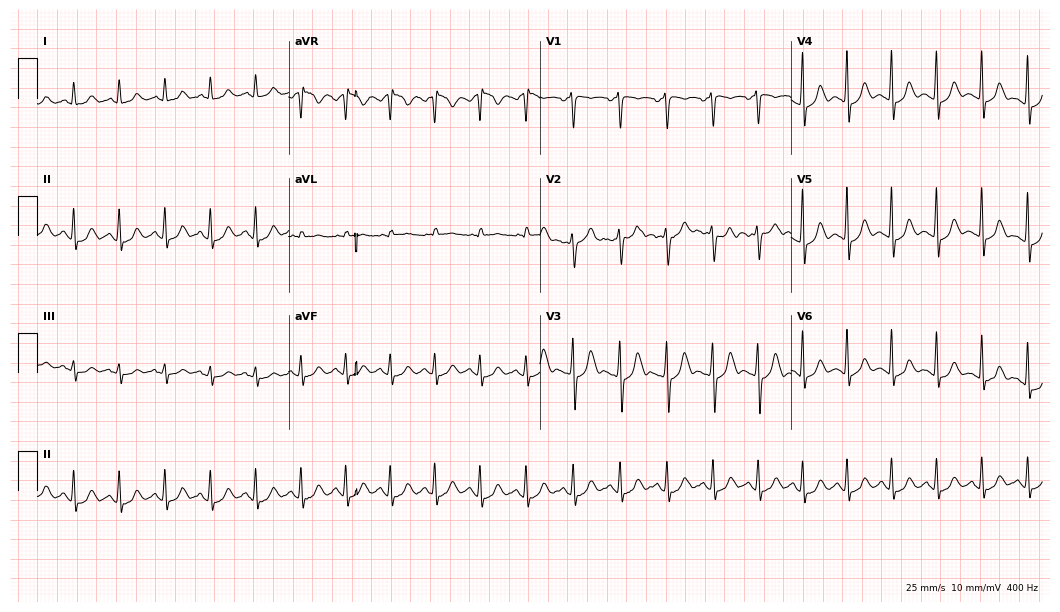
12-lead ECG (10.2-second recording at 400 Hz) from a 42-year-old woman. Screened for six findings — first-degree AV block, right bundle branch block (RBBB), left bundle branch block (LBBB), sinus bradycardia, atrial fibrillation (AF), sinus tachycardia — none is recorded. Other findings, if any, are not listed.